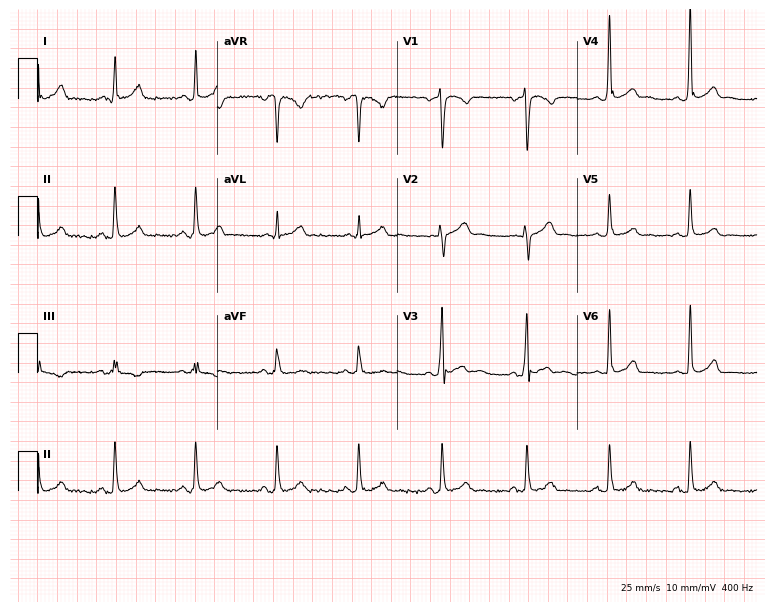
12-lead ECG from a man, 26 years old. Labelled as a normal ECG.